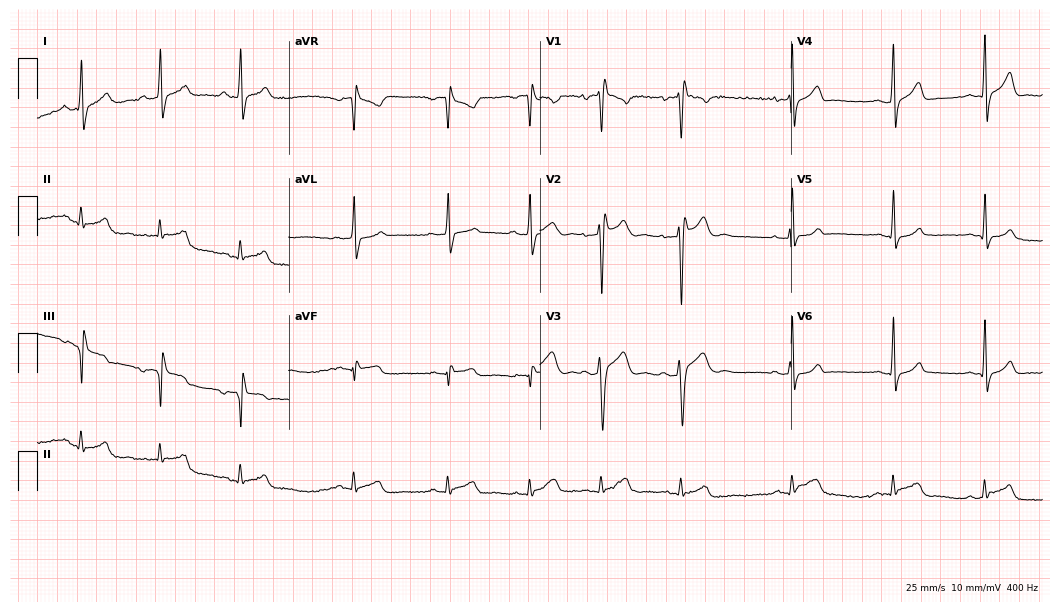
Standard 12-lead ECG recorded from a man, 24 years old (10.2-second recording at 400 Hz). None of these six findings is recorded: first-degree AV block, right bundle branch block, left bundle branch block, sinus bradycardia, atrial fibrillation, sinus tachycardia.